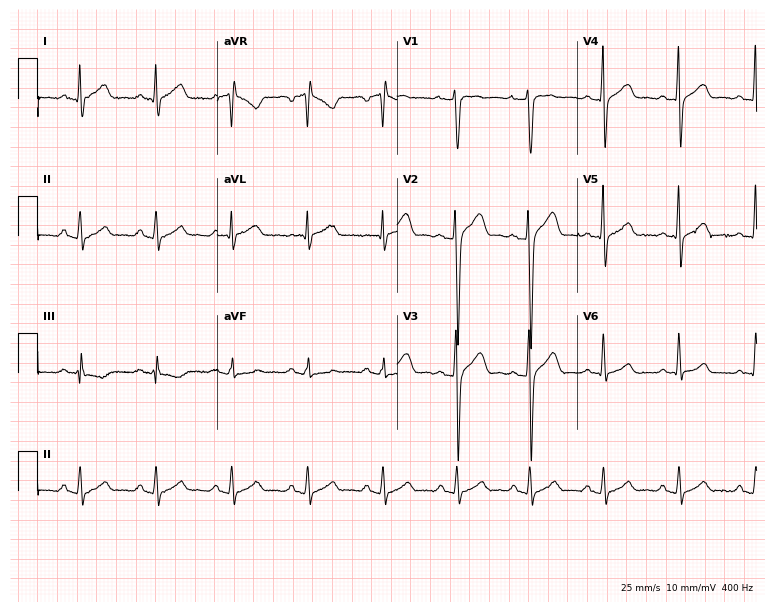
Electrocardiogram, a male, 36 years old. Of the six screened findings (first-degree AV block, right bundle branch block, left bundle branch block, sinus bradycardia, atrial fibrillation, sinus tachycardia), none is recorded.